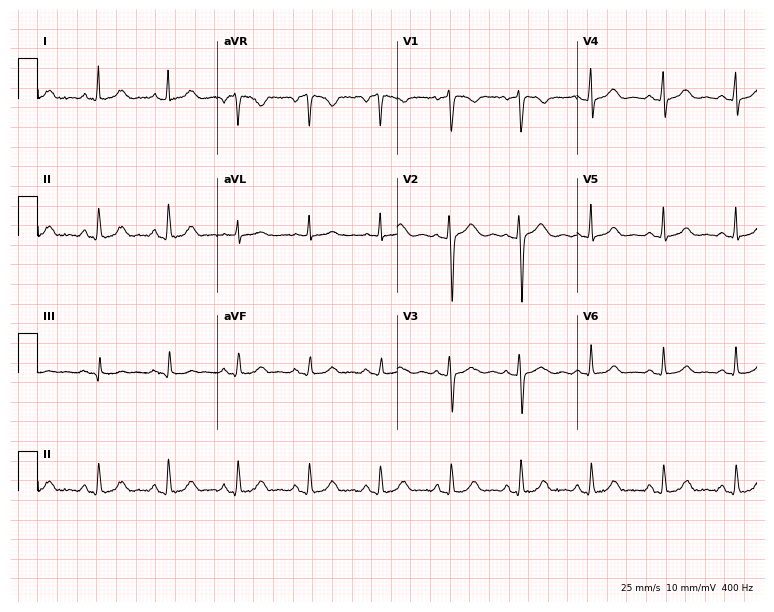
Electrocardiogram (7.3-second recording at 400 Hz), a woman, 43 years old. Overall reading on record: normal ECG.